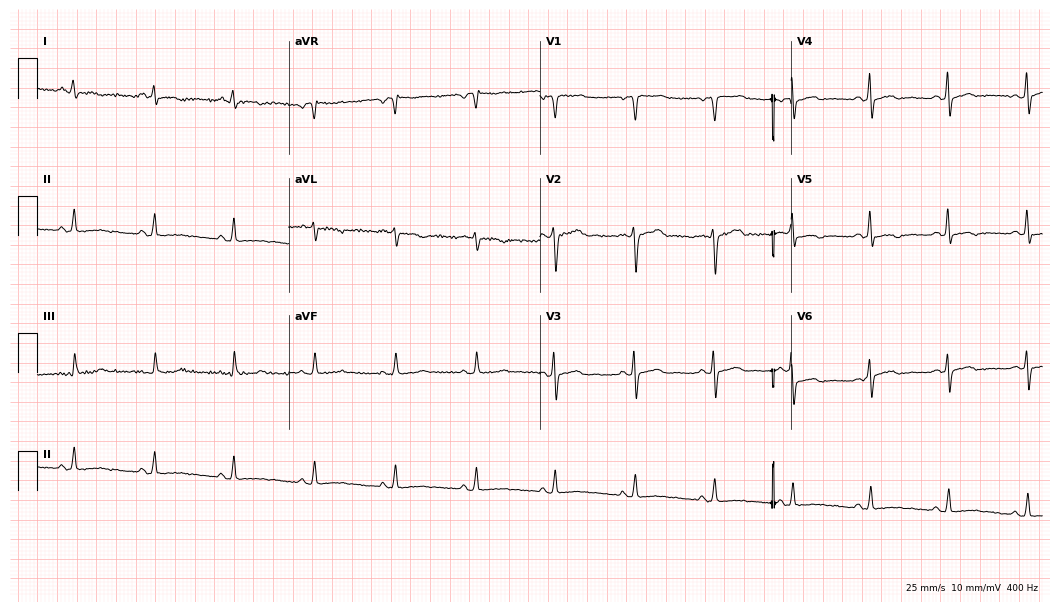
Electrocardiogram (10.2-second recording at 400 Hz), a 48-year-old male. Of the six screened findings (first-degree AV block, right bundle branch block, left bundle branch block, sinus bradycardia, atrial fibrillation, sinus tachycardia), none is recorded. Findings outside these six are not listed.